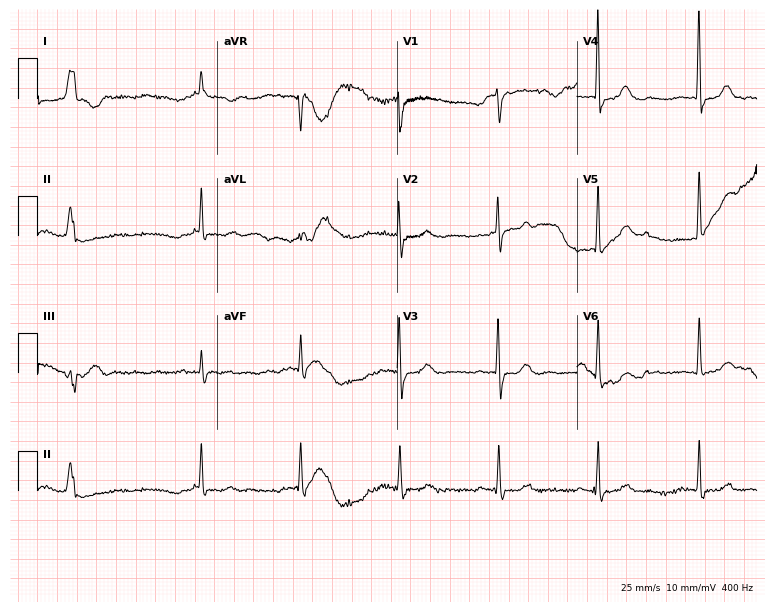
ECG (7.3-second recording at 400 Hz) — a male patient, 84 years old. Screened for six findings — first-degree AV block, right bundle branch block (RBBB), left bundle branch block (LBBB), sinus bradycardia, atrial fibrillation (AF), sinus tachycardia — none is recorded. Findings outside these six are not listed.